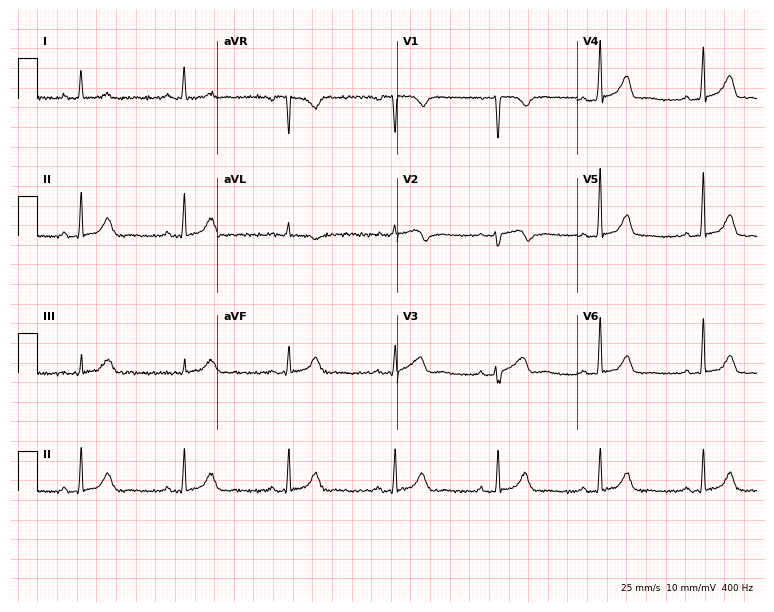
ECG (7.3-second recording at 400 Hz) — a female patient, 54 years old. Labelled as a normal ECG.